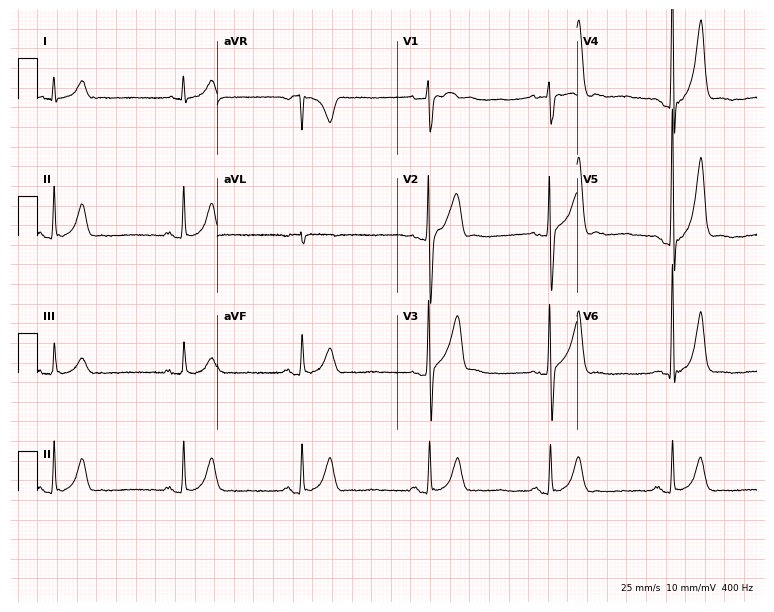
Resting 12-lead electrocardiogram. Patient: a male, 50 years old. The tracing shows sinus bradycardia (a sinus rate of 50 beats per minute or less).